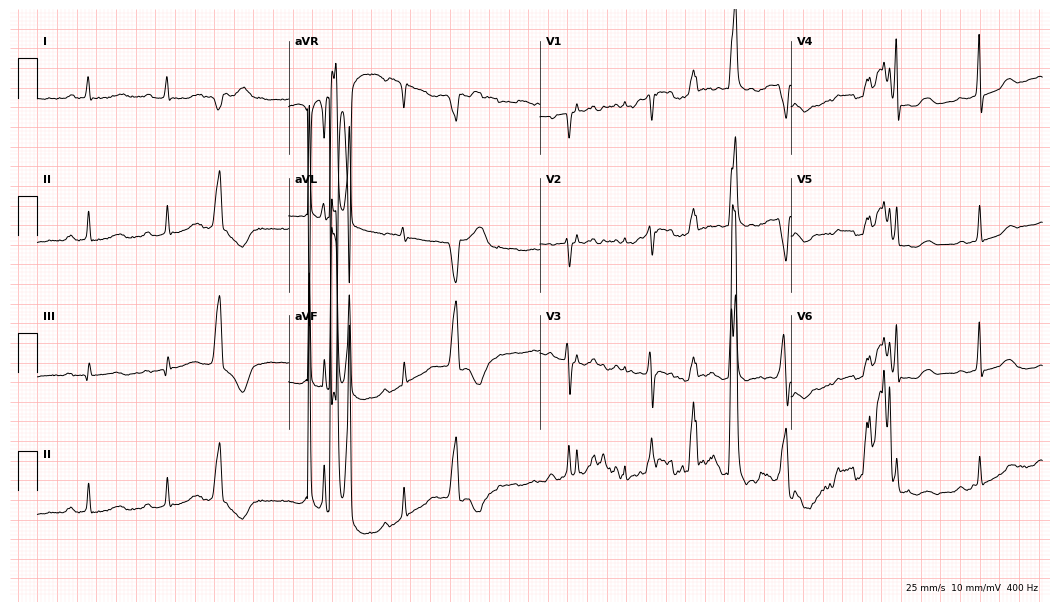
Resting 12-lead electrocardiogram (10.2-second recording at 400 Hz). Patient: a female, 85 years old. None of these six findings is recorded: first-degree AV block, right bundle branch block, left bundle branch block, sinus bradycardia, atrial fibrillation, sinus tachycardia.